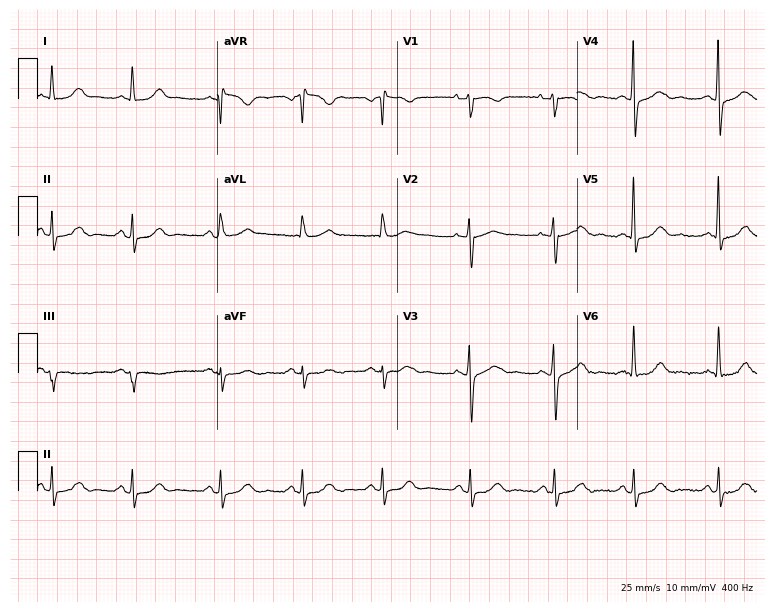
ECG (7.3-second recording at 400 Hz) — a 70-year-old woman. Labelled as a normal ECG.